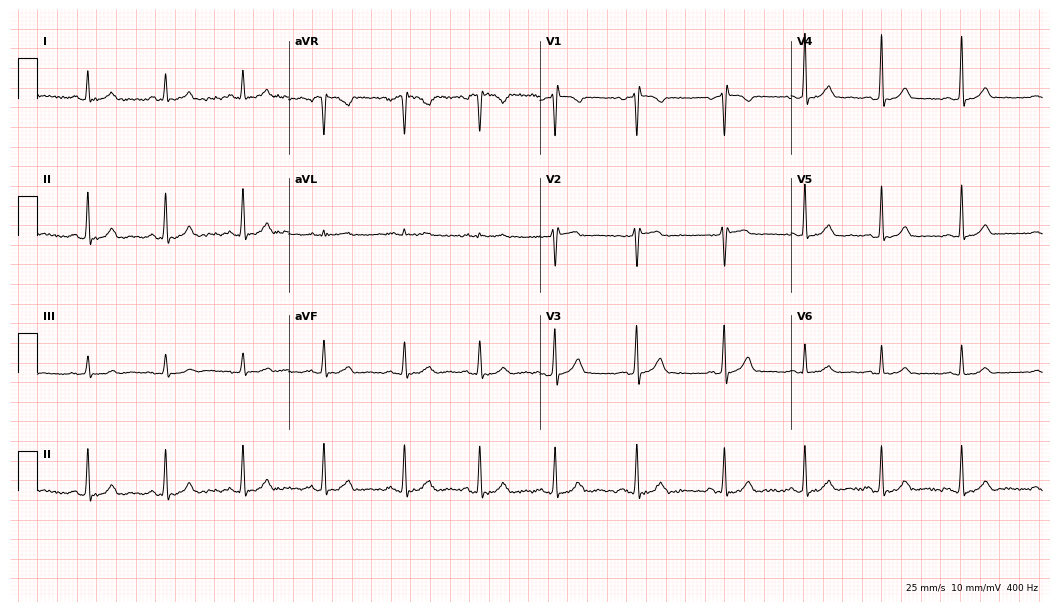
Electrocardiogram, a female patient, 23 years old. Of the six screened findings (first-degree AV block, right bundle branch block (RBBB), left bundle branch block (LBBB), sinus bradycardia, atrial fibrillation (AF), sinus tachycardia), none is recorded. Only these six findings were labelled.